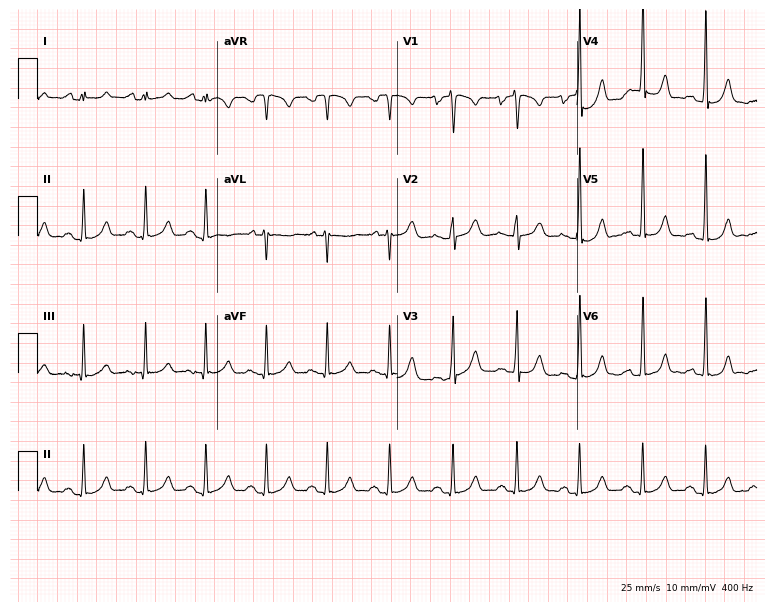
12-lead ECG from a woman, 17 years old. Labelled as a normal ECG.